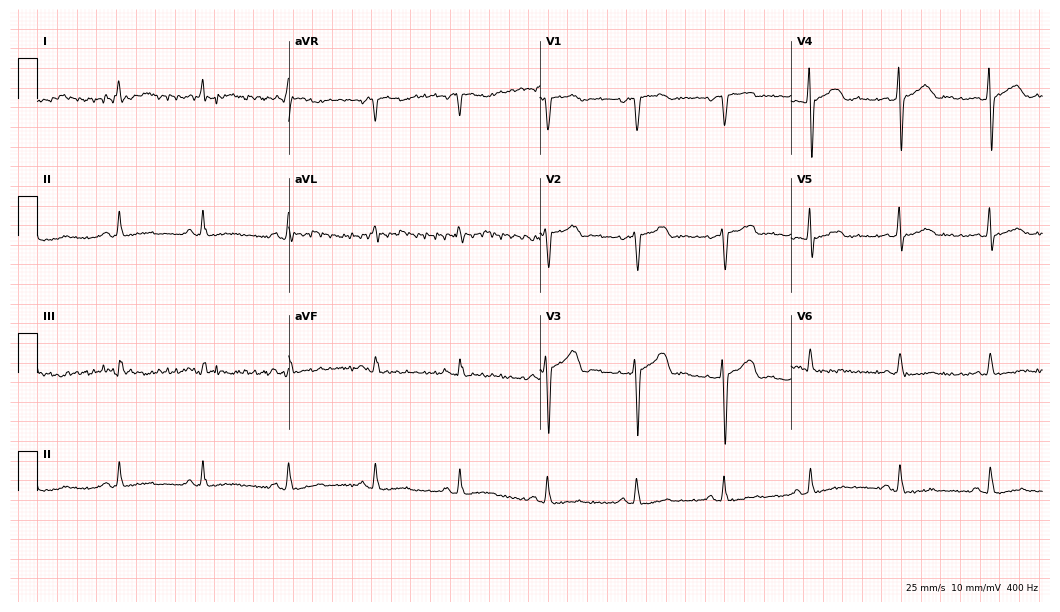
Standard 12-lead ECG recorded from a female patient, 51 years old. None of these six findings is recorded: first-degree AV block, right bundle branch block, left bundle branch block, sinus bradycardia, atrial fibrillation, sinus tachycardia.